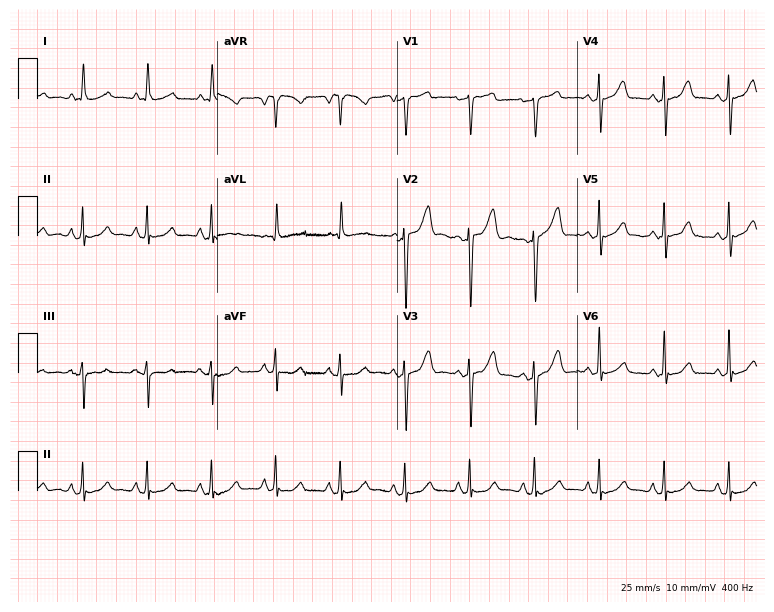
12-lead ECG from a female patient, 81 years old (7.3-second recording at 400 Hz). No first-degree AV block, right bundle branch block (RBBB), left bundle branch block (LBBB), sinus bradycardia, atrial fibrillation (AF) or sinus tachycardia recorded for this tracing. Other findings, if any, are not listed.